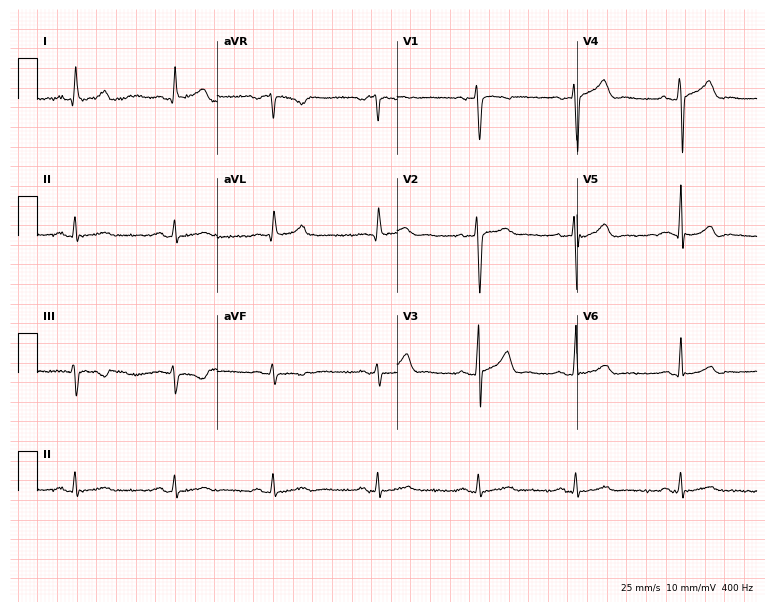
Electrocardiogram, a 38-year-old male. Overall reading on record: normal ECG.